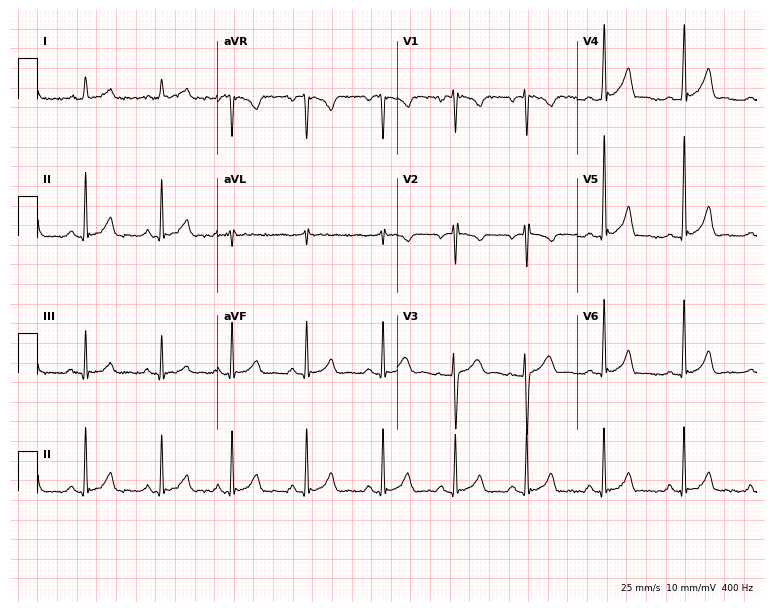
Standard 12-lead ECG recorded from a 22-year-old female. Read as a normal ECG.